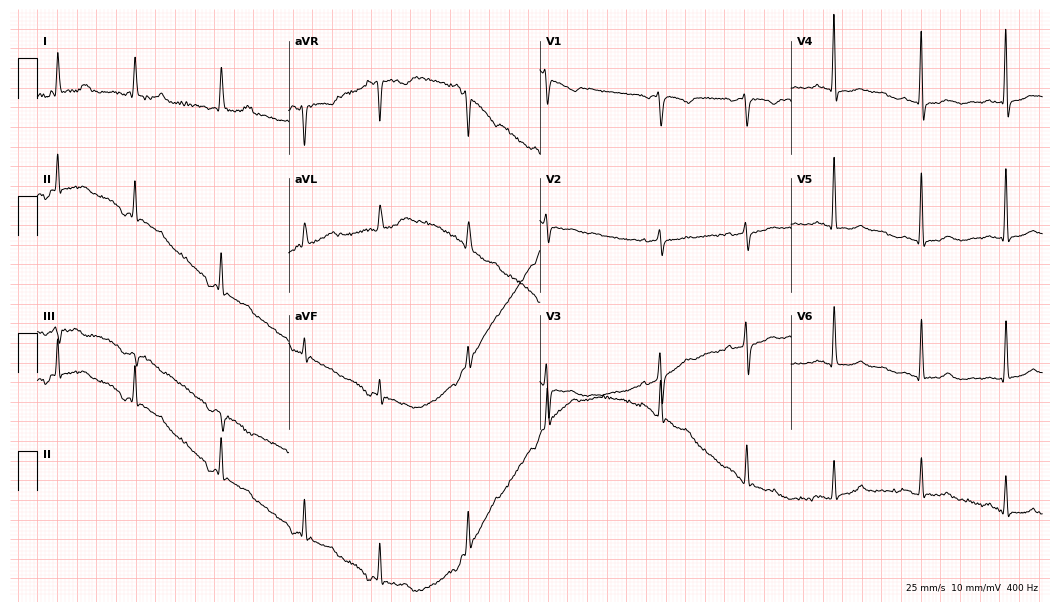
Standard 12-lead ECG recorded from a female patient, 63 years old (10.2-second recording at 400 Hz). None of these six findings is recorded: first-degree AV block, right bundle branch block, left bundle branch block, sinus bradycardia, atrial fibrillation, sinus tachycardia.